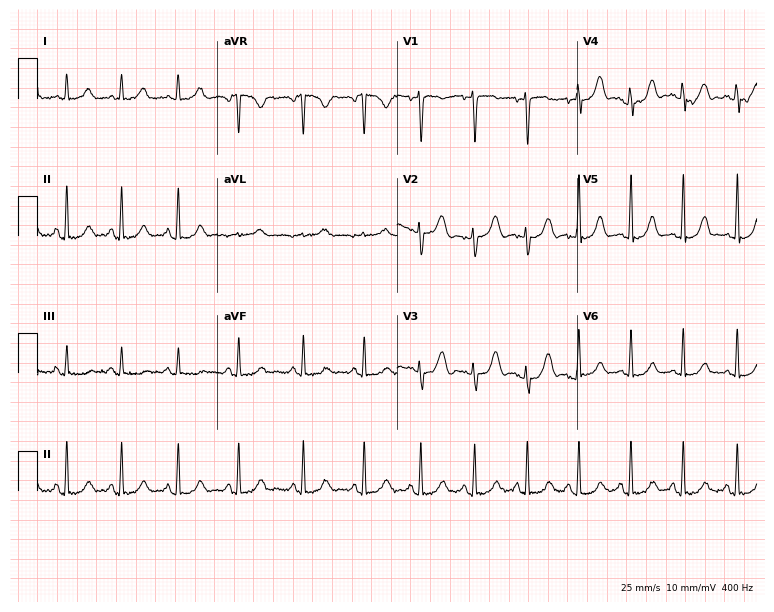
12-lead ECG from a female, 44 years old. Screened for six findings — first-degree AV block, right bundle branch block (RBBB), left bundle branch block (LBBB), sinus bradycardia, atrial fibrillation (AF), sinus tachycardia — none is recorded.